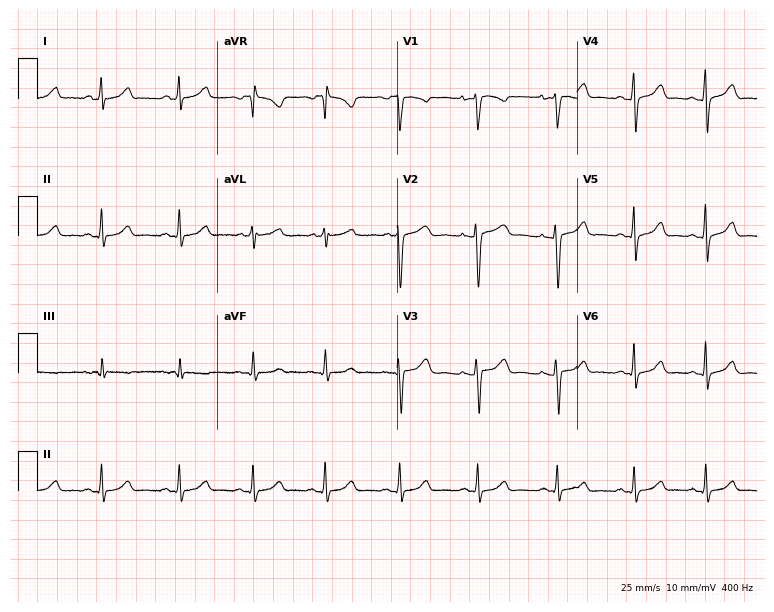
Resting 12-lead electrocardiogram. Patient: a female, 37 years old. None of these six findings is recorded: first-degree AV block, right bundle branch block, left bundle branch block, sinus bradycardia, atrial fibrillation, sinus tachycardia.